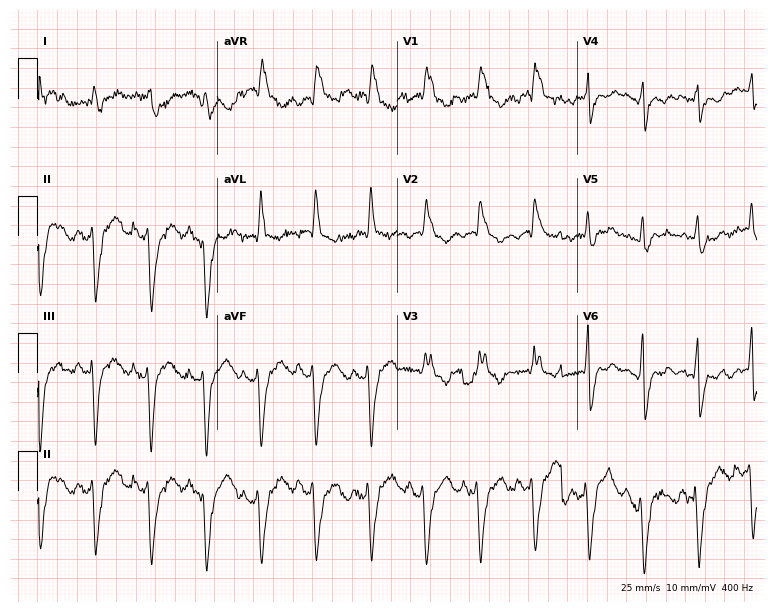
Standard 12-lead ECG recorded from a male, 86 years old. The tracing shows right bundle branch block (RBBB), sinus tachycardia (a sinus rate of 100 beats per minute or more).